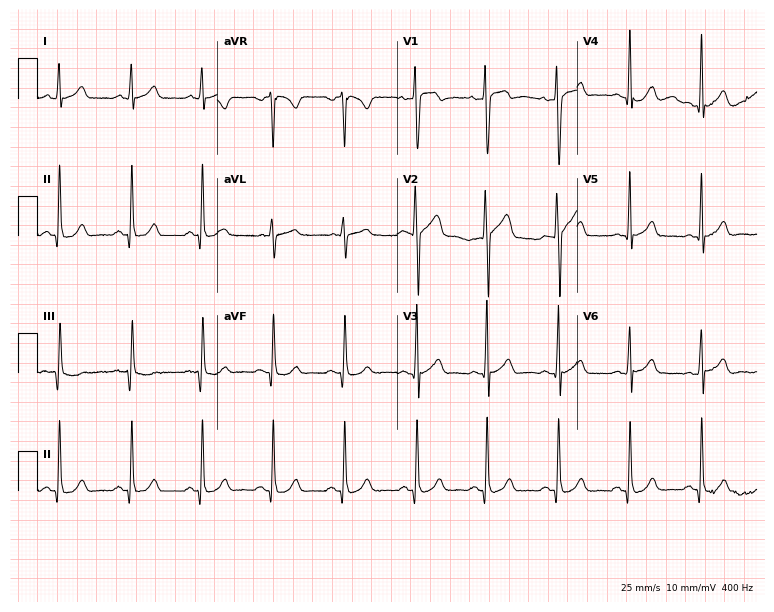
12-lead ECG from a 26-year-old male patient. No first-degree AV block, right bundle branch block, left bundle branch block, sinus bradycardia, atrial fibrillation or sinus tachycardia recorded for this tracing.